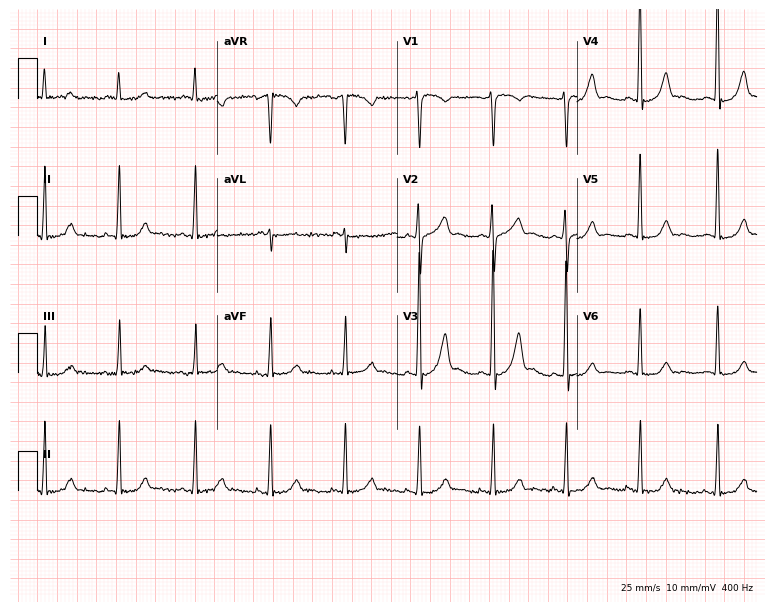
12-lead ECG from a male, 39 years old (7.3-second recording at 400 Hz). No first-degree AV block, right bundle branch block (RBBB), left bundle branch block (LBBB), sinus bradycardia, atrial fibrillation (AF) or sinus tachycardia recorded for this tracing.